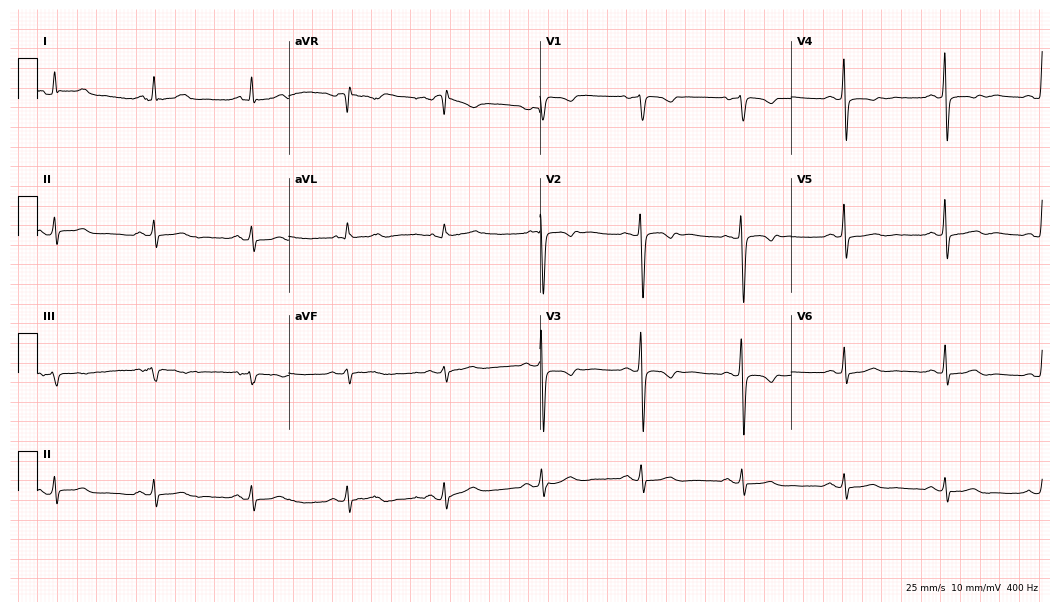
12-lead ECG from a 52-year-old female (10.2-second recording at 400 Hz). No first-degree AV block, right bundle branch block (RBBB), left bundle branch block (LBBB), sinus bradycardia, atrial fibrillation (AF) or sinus tachycardia recorded for this tracing. Other findings, if any, are not listed.